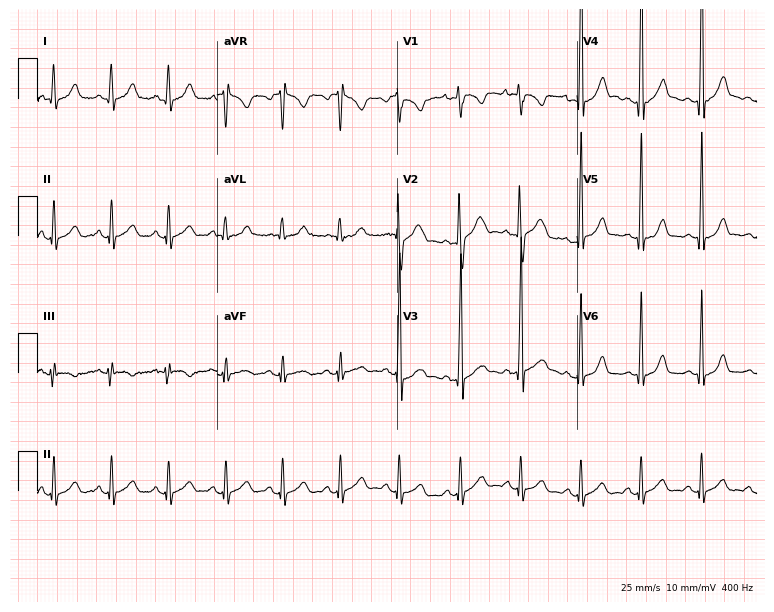
Standard 12-lead ECG recorded from a 22-year-old male. Read as a normal ECG.